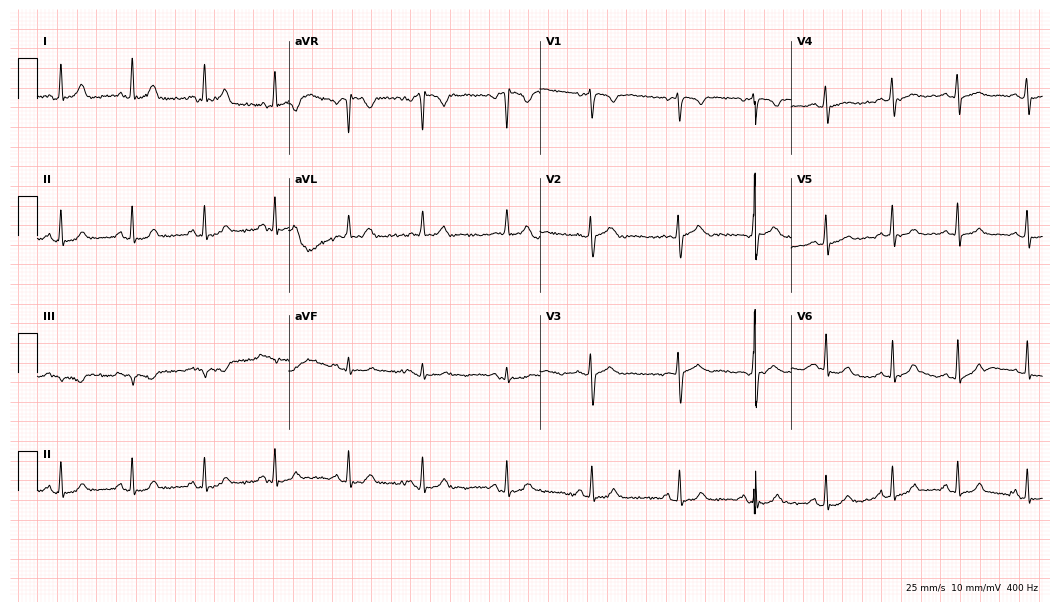
Electrocardiogram (10.2-second recording at 400 Hz), a 30-year-old female. Overall reading on record: normal ECG.